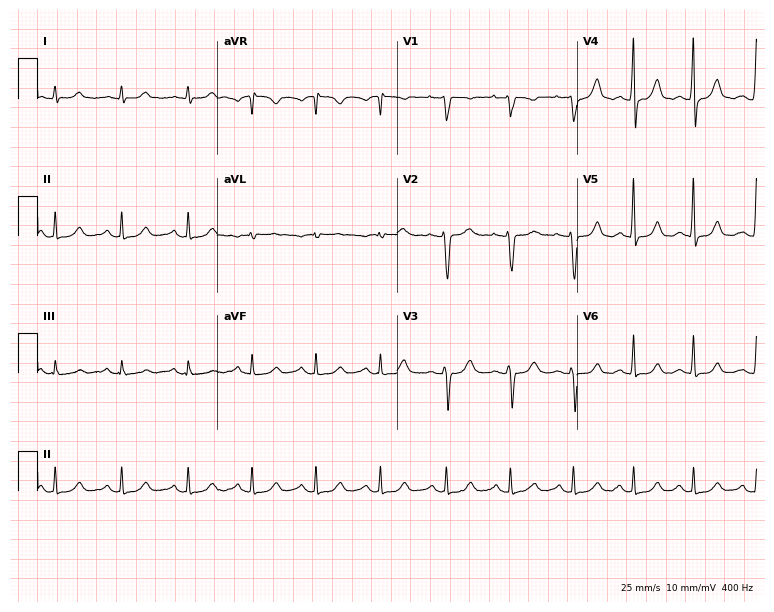
Resting 12-lead electrocardiogram (7.3-second recording at 400 Hz). Patient: a 46-year-old female. Read as a normal ECG.